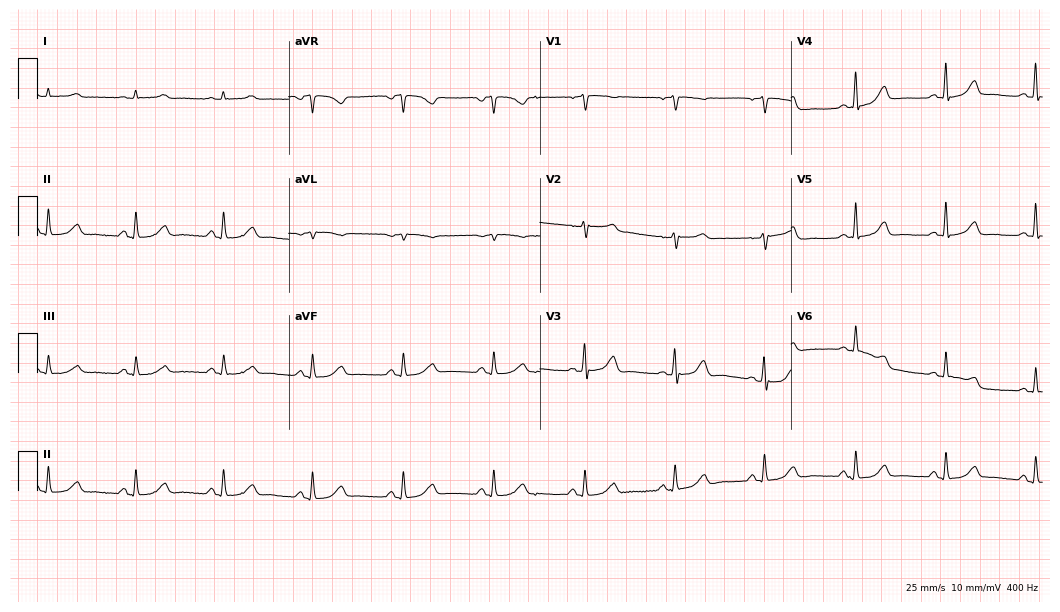
Resting 12-lead electrocardiogram (10.2-second recording at 400 Hz). Patient: an 83-year-old female. None of these six findings is recorded: first-degree AV block, right bundle branch block, left bundle branch block, sinus bradycardia, atrial fibrillation, sinus tachycardia. Findings outside these six are not listed.